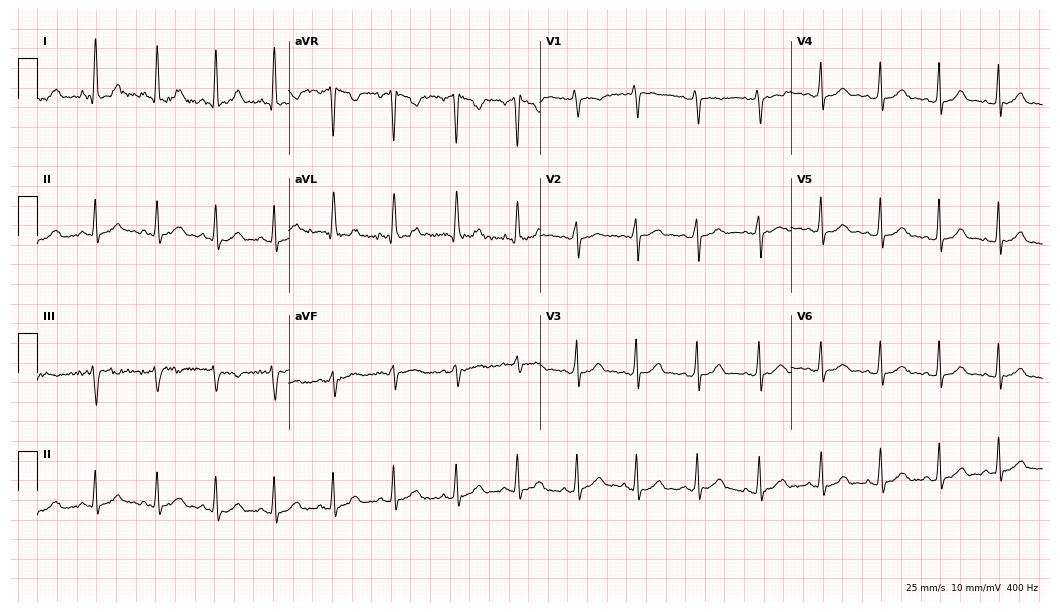
Electrocardiogram, a 28-year-old male. Overall reading on record: normal ECG.